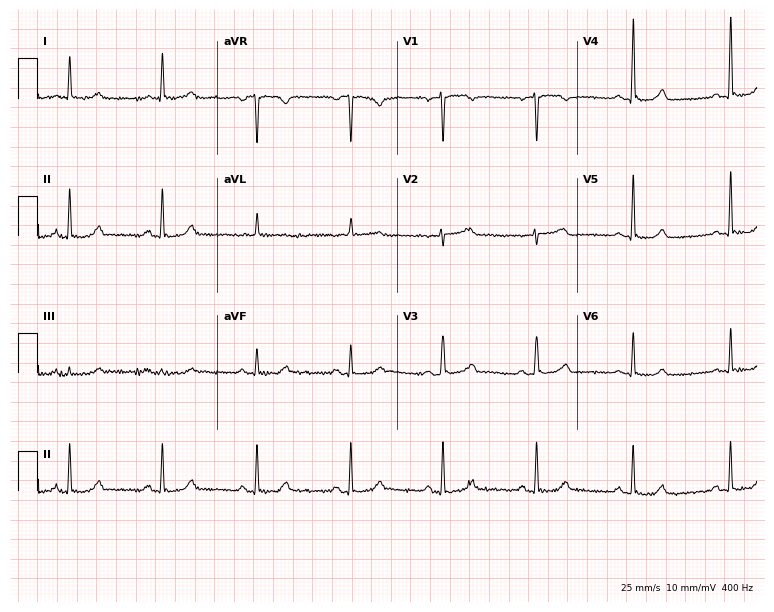
Resting 12-lead electrocardiogram (7.3-second recording at 400 Hz). Patient: a 59-year-old female. None of these six findings is recorded: first-degree AV block, right bundle branch block, left bundle branch block, sinus bradycardia, atrial fibrillation, sinus tachycardia. Only these six findings were labelled.